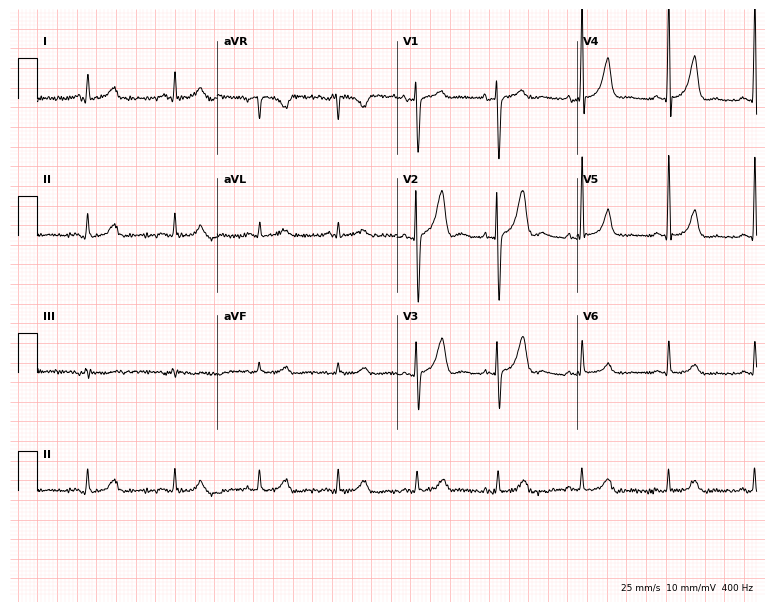
12-lead ECG from a 53-year-old male patient (7.3-second recording at 400 Hz). Recorded interpretation: within normal limits.